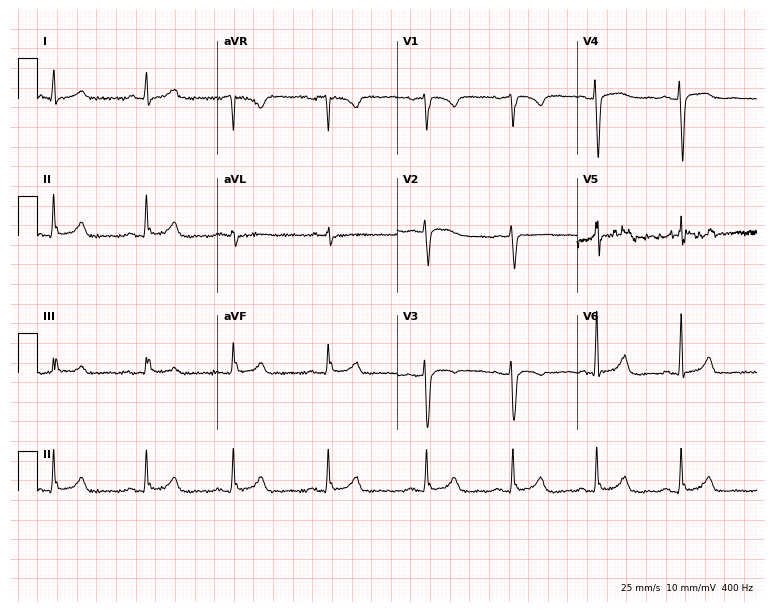
12-lead ECG (7.3-second recording at 400 Hz) from a 46-year-old woman. Screened for six findings — first-degree AV block, right bundle branch block, left bundle branch block, sinus bradycardia, atrial fibrillation, sinus tachycardia — none is recorded. Only these six findings were labelled.